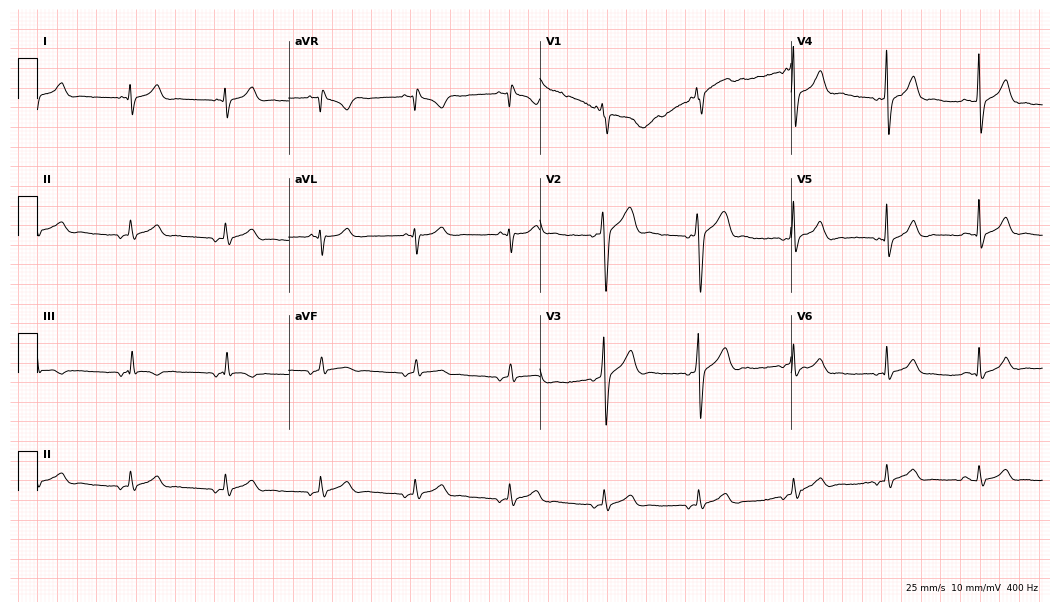
ECG — a male patient, 37 years old. Screened for six findings — first-degree AV block, right bundle branch block (RBBB), left bundle branch block (LBBB), sinus bradycardia, atrial fibrillation (AF), sinus tachycardia — none is recorded. Only these six findings were labelled.